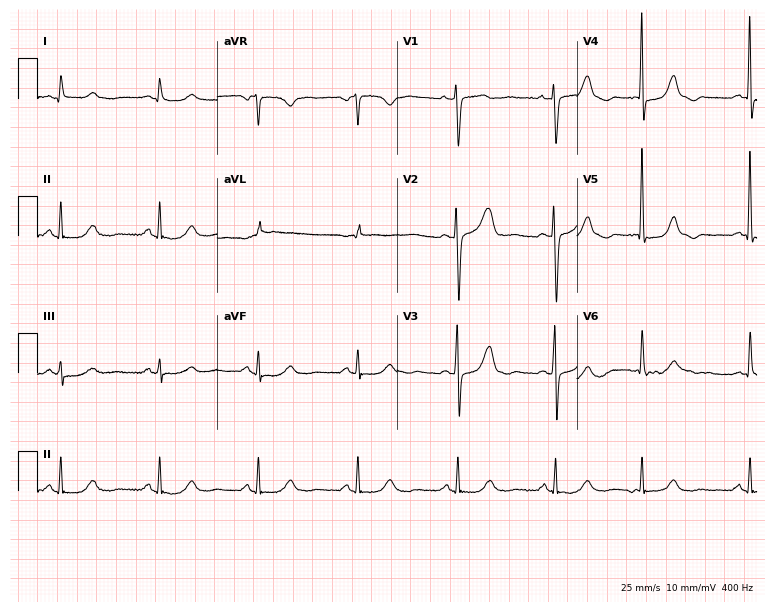
Standard 12-lead ECG recorded from a male, 77 years old (7.3-second recording at 400 Hz). None of these six findings is recorded: first-degree AV block, right bundle branch block (RBBB), left bundle branch block (LBBB), sinus bradycardia, atrial fibrillation (AF), sinus tachycardia. Only these six findings were labelled.